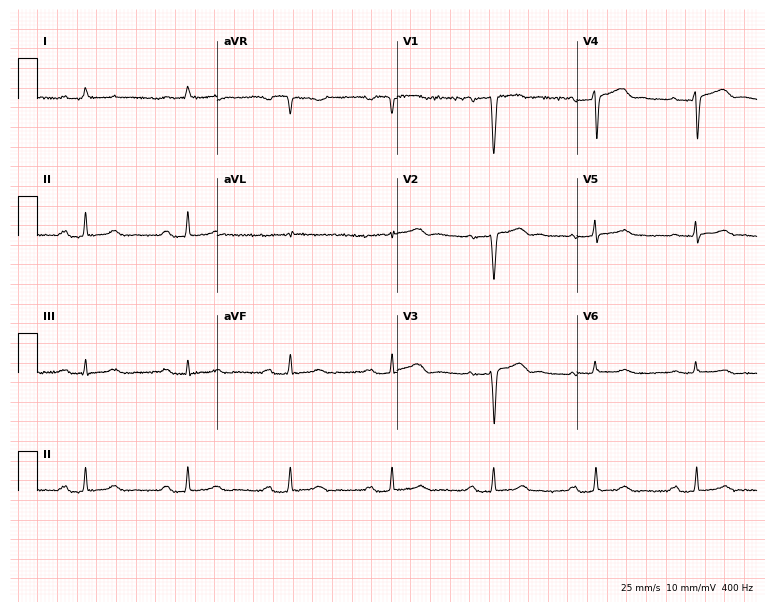
12-lead ECG from a male, 41 years old (7.3-second recording at 400 Hz). Shows first-degree AV block.